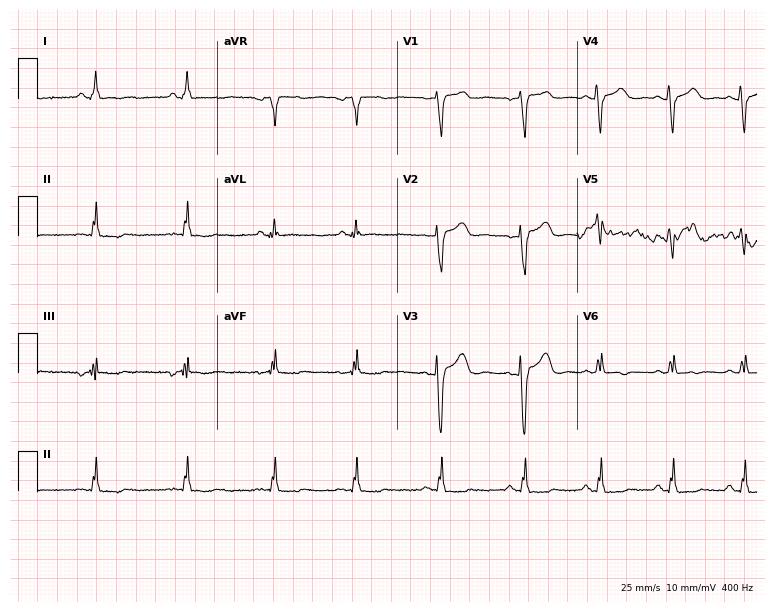
Resting 12-lead electrocardiogram. Patient: a 35-year-old woman. None of these six findings is recorded: first-degree AV block, right bundle branch block (RBBB), left bundle branch block (LBBB), sinus bradycardia, atrial fibrillation (AF), sinus tachycardia.